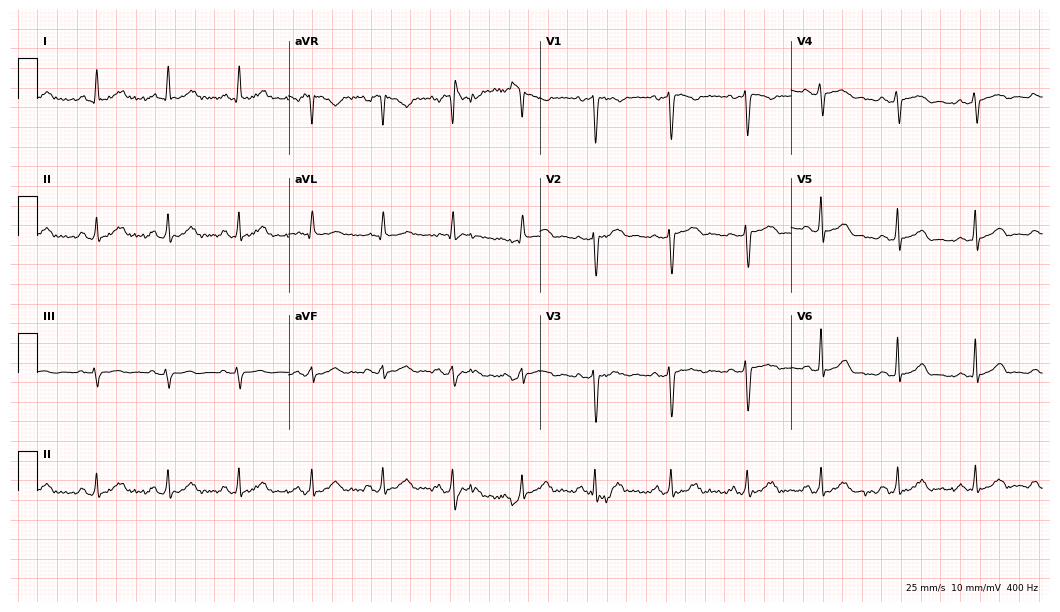
ECG (10.2-second recording at 400 Hz) — a female, 38 years old. Labelled as a normal ECG.